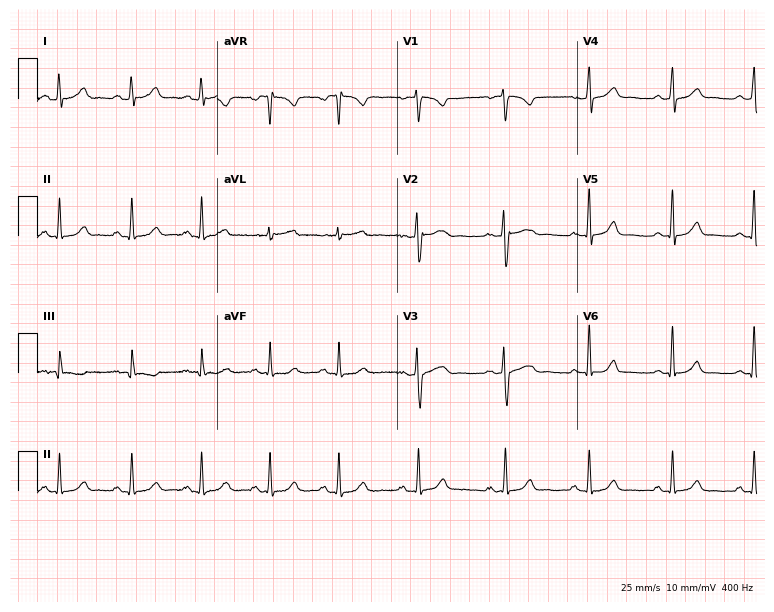
Electrocardiogram, a 27-year-old female. Overall reading on record: normal ECG.